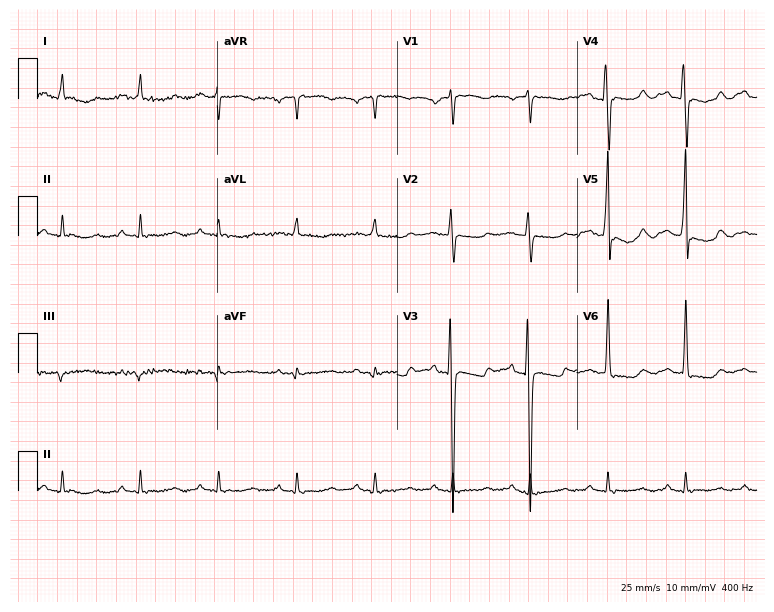
ECG (7.3-second recording at 400 Hz) — a woman, 50 years old. Screened for six findings — first-degree AV block, right bundle branch block (RBBB), left bundle branch block (LBBB), sinus bradycardia, atrial fibrillation (AF), sinus tachycardia — none is recorded. Only these six findings were labelled.